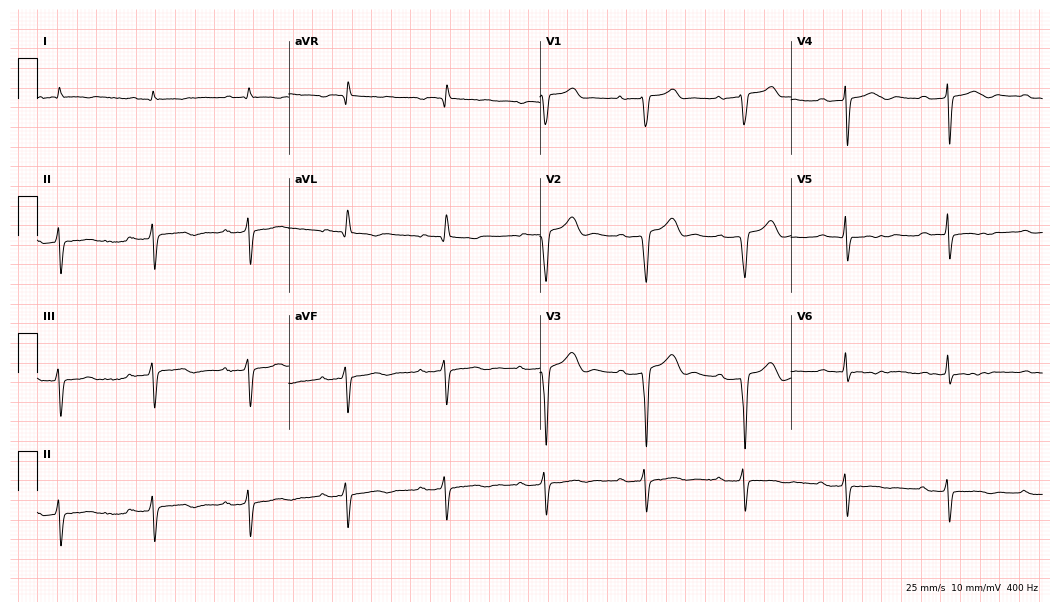
Electrocardiogram, a male patient, 70 years old. Interpretation includes first-degree AV block.